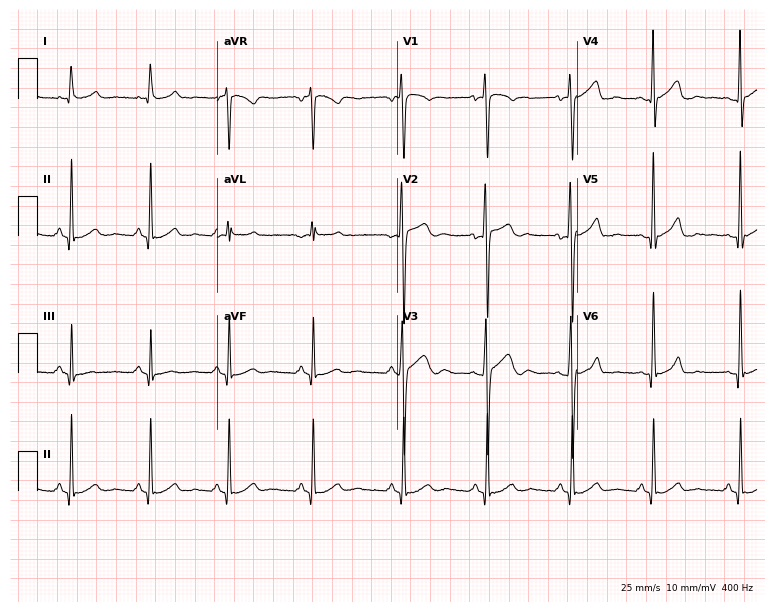
Standard 12-lead ECG recorded from a 31-year-old man (7.3-second recording at 400 Hz). Read as a normal ECG.